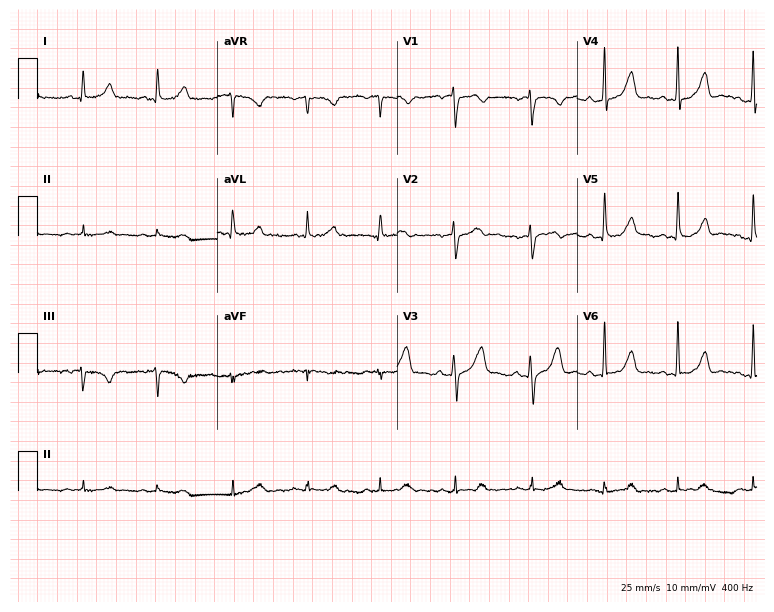
Electrocardiogram (7.3-second recording at 400 Hz), a 58-year-old female. Overall reading on record: normal ECG.